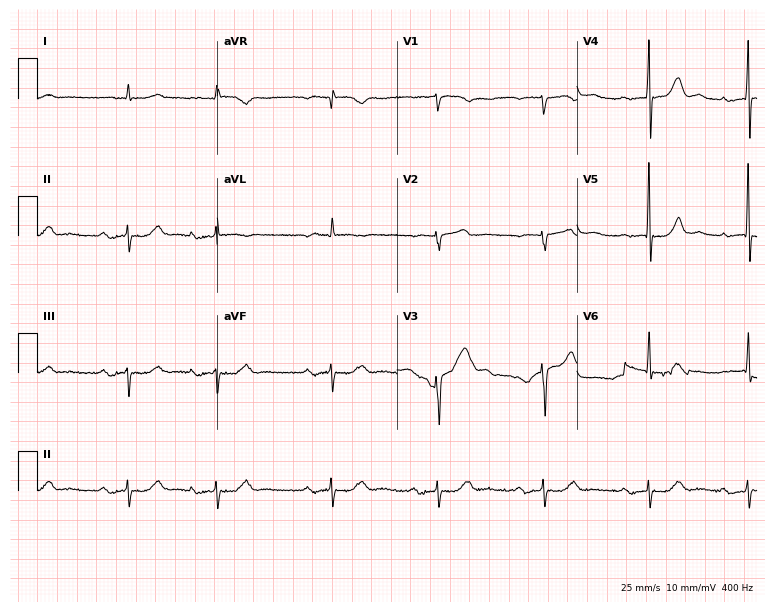
Resting 12-lead electrocardiogram (7.3-second recording at 400 Hz). Patient: a male, 75 years old. The tracing shows first-degree AV block.